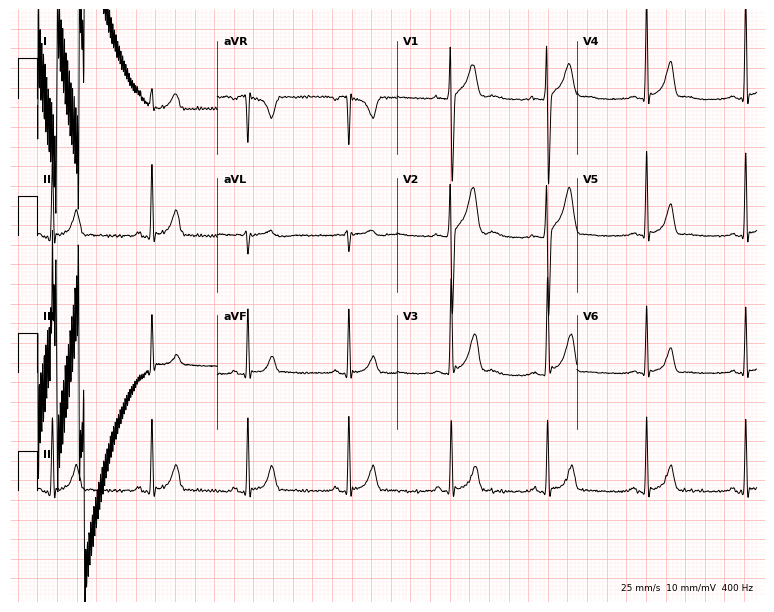
Standard 12-lead ECG recorded from a male, 21 years old (7.3-second recording at 400 Hz). Read as a normal ECG.